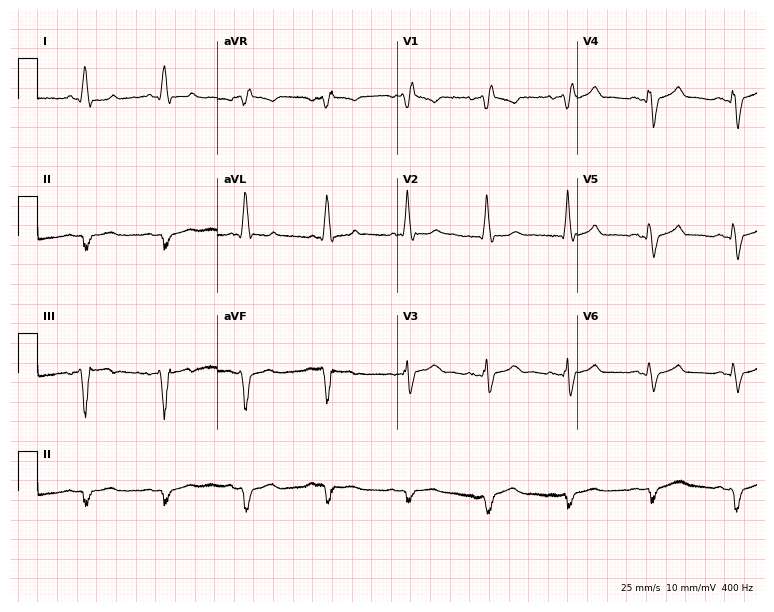
Standard 12-lead ECG recorded from a 64-year-old female patient. The tracing shows right bundle branch block.